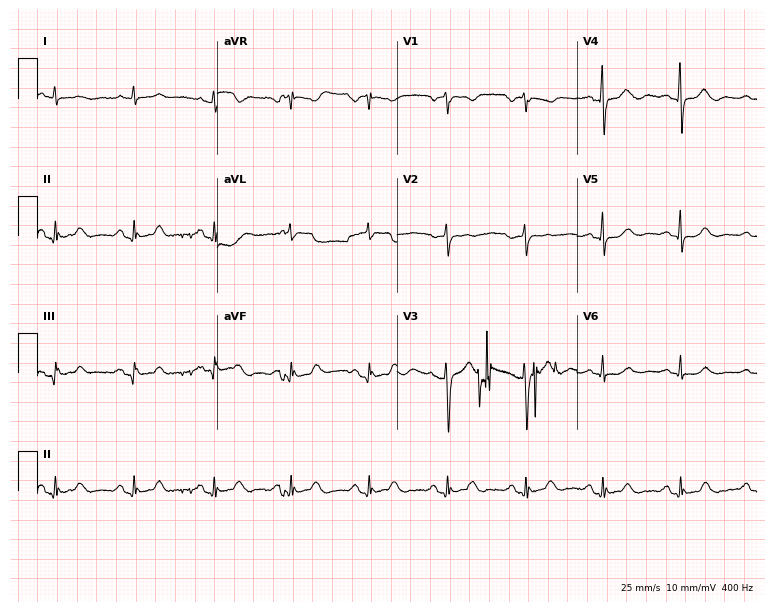
Resting 12-lead electrocardiogram. Patient: a female, 68 years old. None of these six findings is recorded: first-degree AV block, right bundle branch block, left bundle branch block, sinus bradycardia, atrial fibrillation, sinus tachycardia.